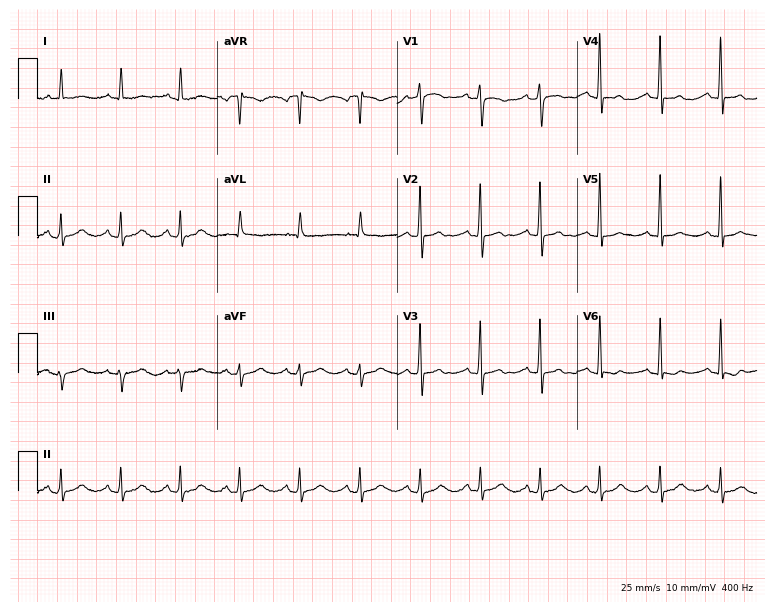
Resting 12-lead electrocardiogram (7.3-second recording at 400 Hz). Patient: a woman, 66 years old. None of these six findings is recorded: first-degree AV block, right bundle branch block, left bundle branch block, sinus bradycardia, atrial fibrillation, sinus tachycardia.